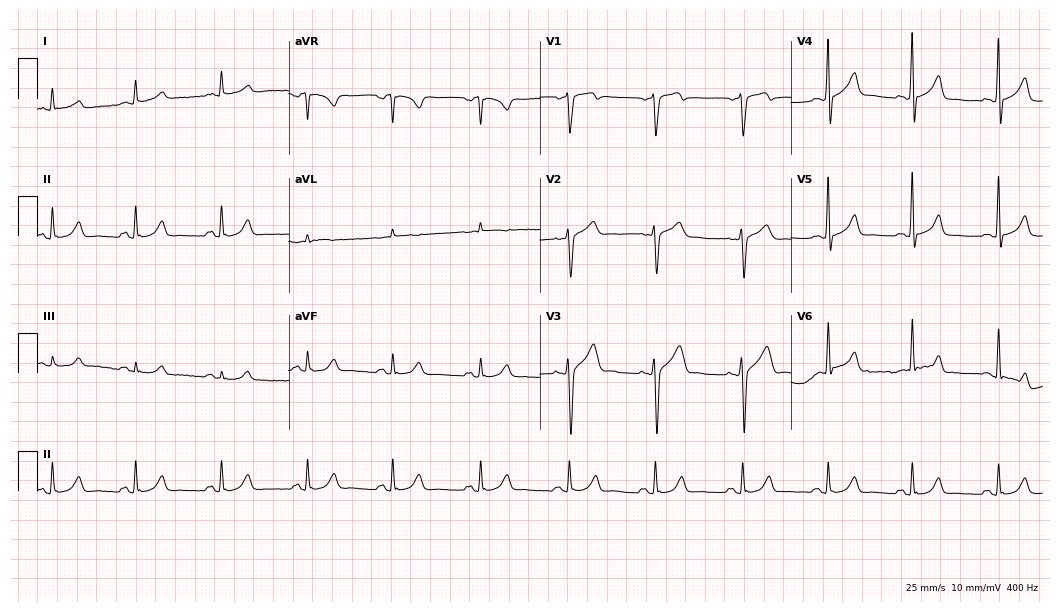
Resting 12-lead electrocardiogram. Patient: a male, 62 years old. Read as a normal ECG.